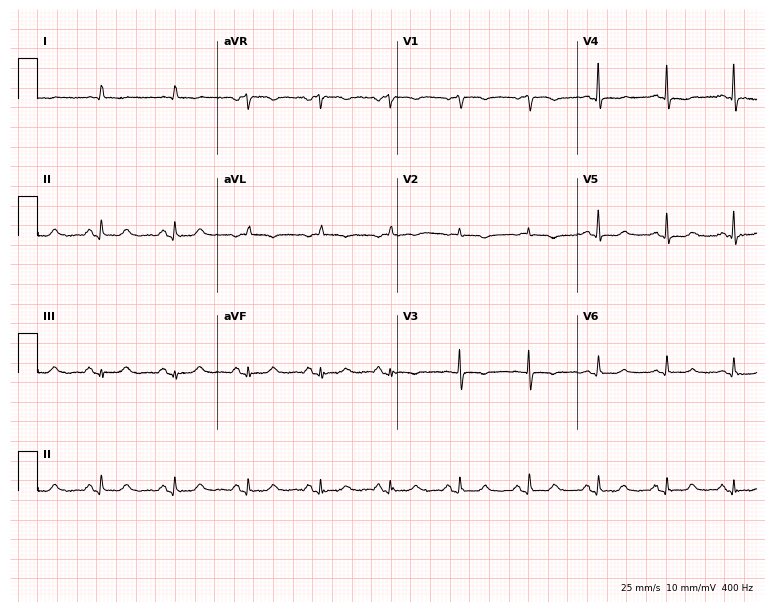
Resting 12-lead electrocardiogram (7.3-second recording at 400 Hz). Patient: a female, 75 years old. None of these six findings is recorded: first-degree AV block, right bundle branch block, left bundle branch block, sinus bradycardia, atrial fibrillation, sinus tachycardia. Findings outside these six are not listed.